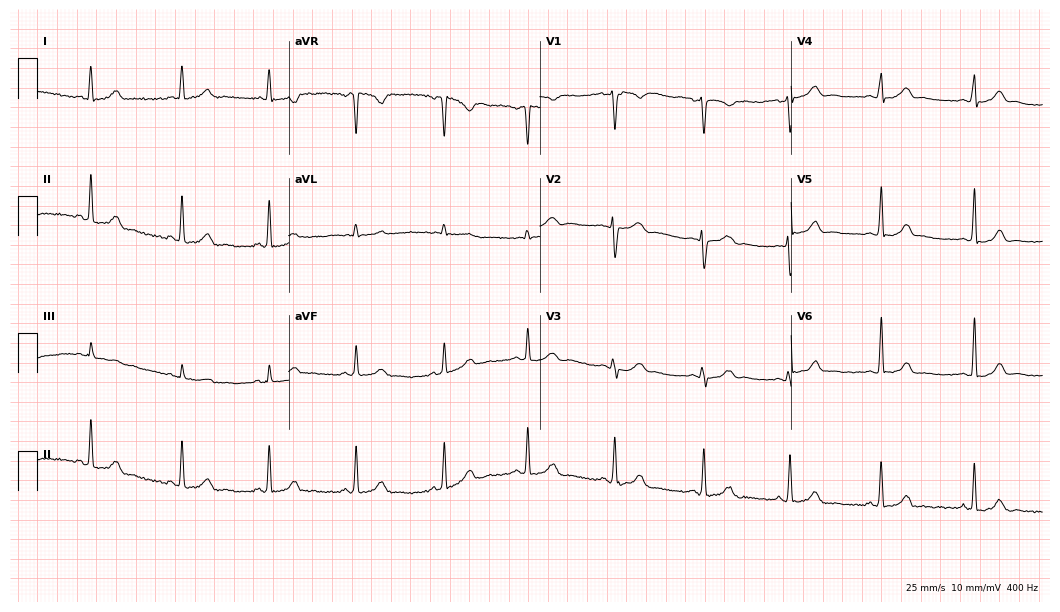
Electrocardiogram, a woman, 28 years old. Overall reading on record: normal ECG.